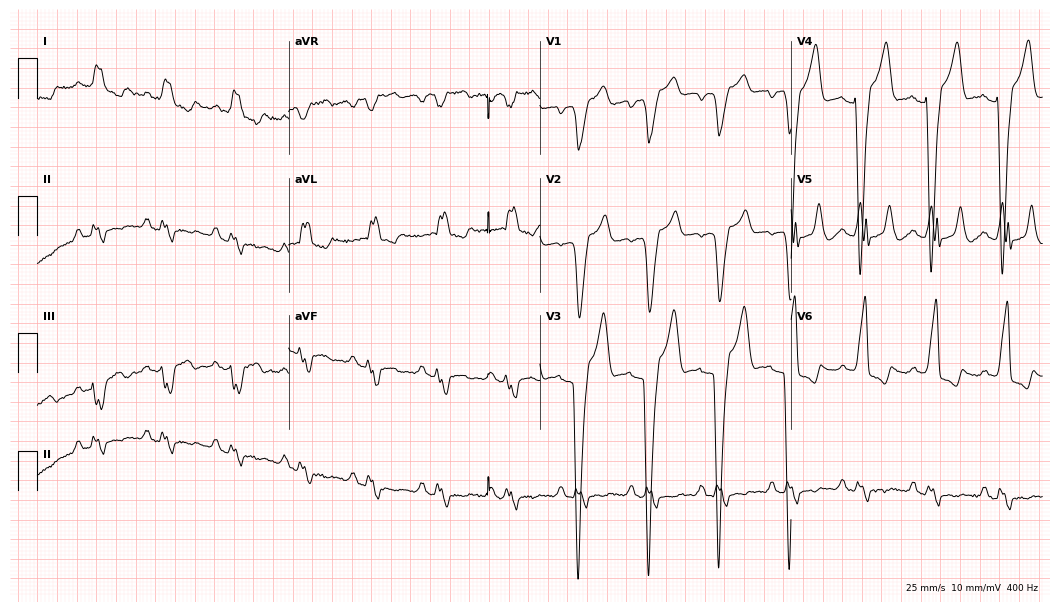
ECG (10.2-second recording at 400 Hz) — a 71-year-old male. Findings include left bundle branch block.